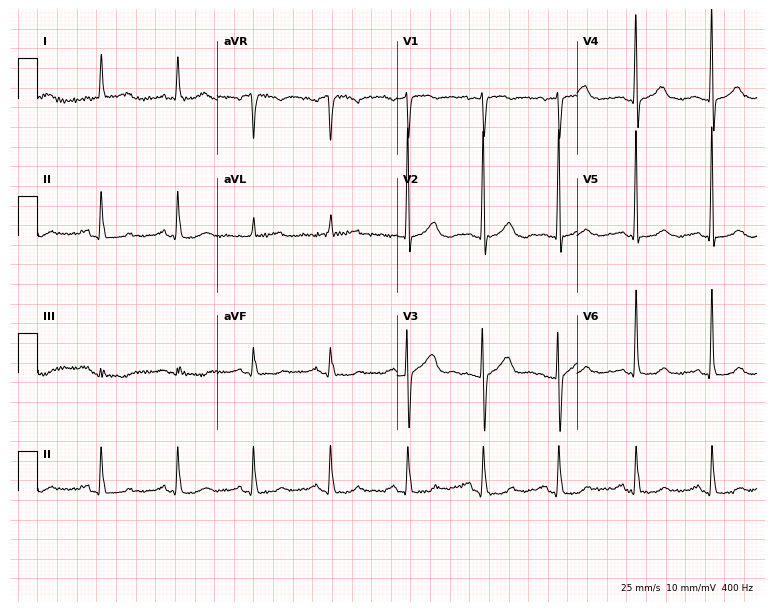
Resting 12-lead electrocardiogram (7.3-second recording at 400 Hz). Patient: a 61-year-old female. None of these six findings is recorded: first-degree AV block, right bundle branch block, left bundle branch block, sinus bradycardia, atrial fibrillation, sinus tachycardia.